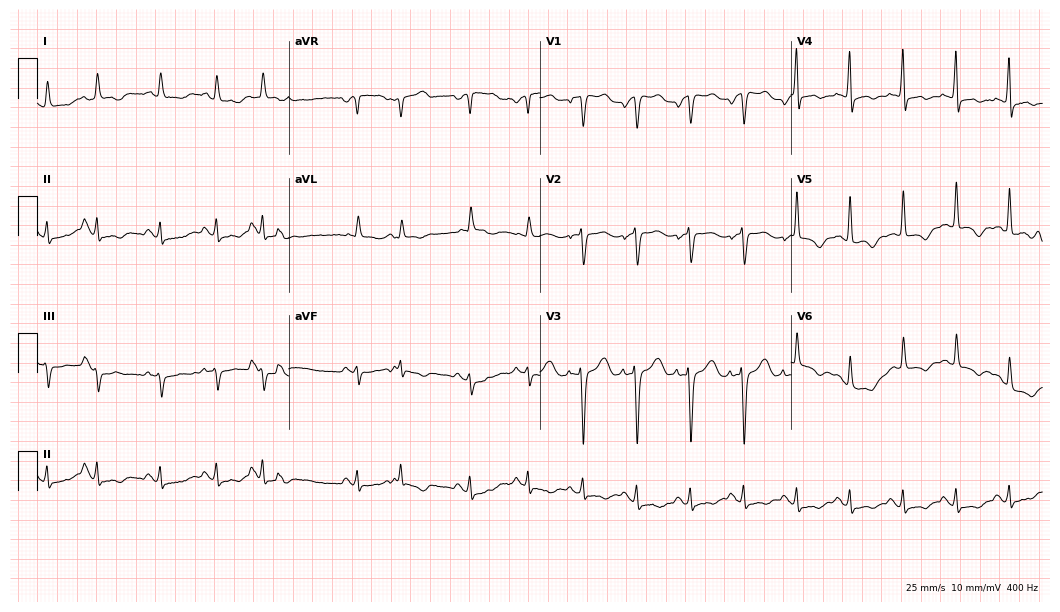
ECG (10.2-second recording at 400 Hz) — an 84-year-old female. Findings include sinus tachycardia (a sinus rate of 100 beats per minute or more).